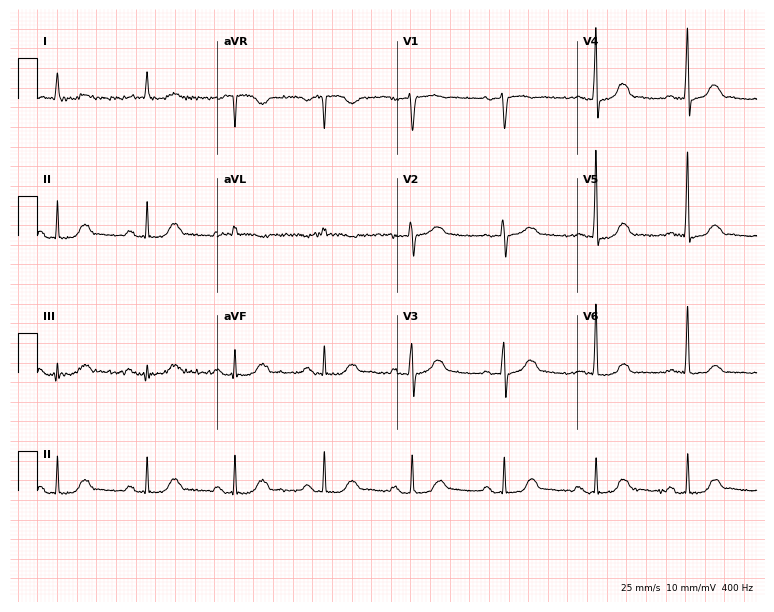
Electrocardiogram, a male, 85 years old. Overall reading on record: normal ECG.